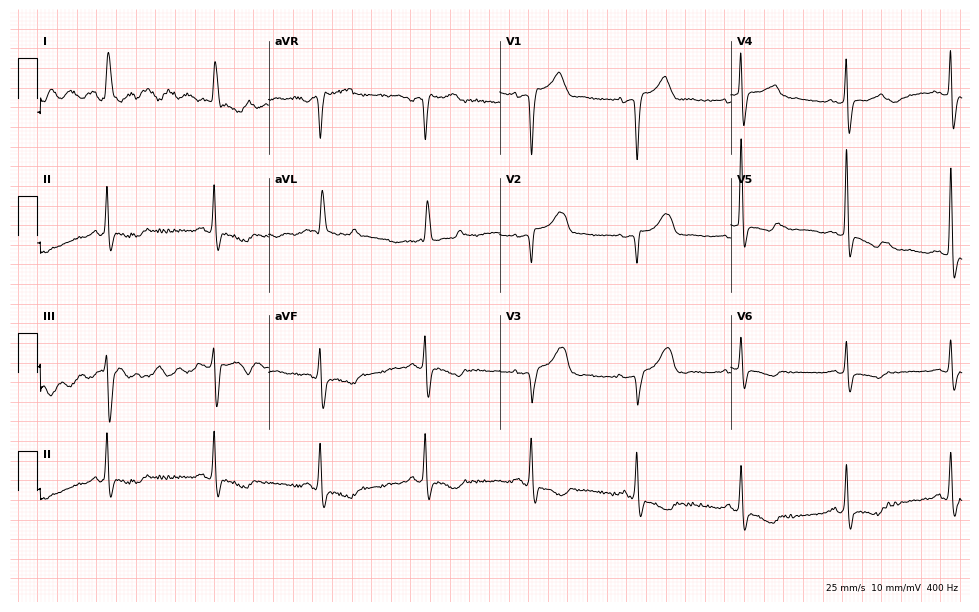
Standard 12-lead ECG recorded from an 82-year-old male (9.4-second recording at 400 Hz). None of these six findings is recorded: first-degree AV block, right bundle branch block, left bundle branch block, sinus bradycardia, atrial fibrillation, sinus tachycardia. Findings outside these six are not listed.